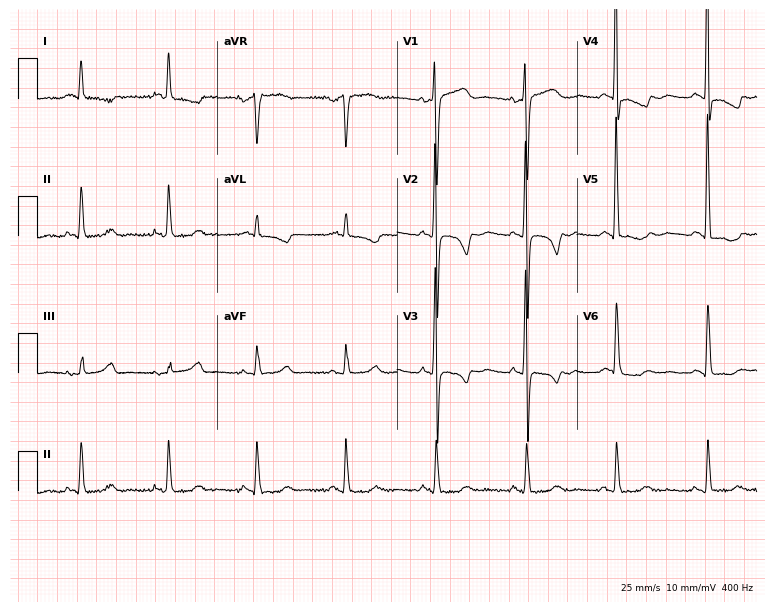
Electrocardiogram (7.3-second recording at 400 Hz), a female patient, 55 years old. Of the six screened findings (first-degree AV block, right bundle branch block (RBBB), left bundle branch block (LBBB), sinus bradycardia, atrial fibrillation (AF), sinus tachycardia), none is recorded. Findings outside these six are not listed.